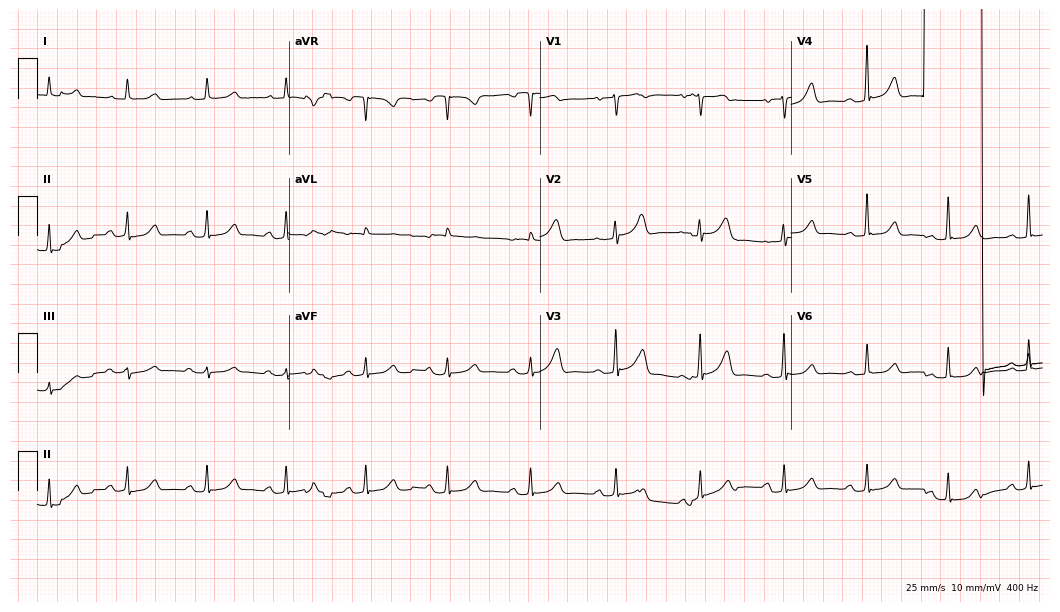
Resting 12-lead electrocardiogram. Patient: a woman, 73 years old. None of these six findings is recorded: first-degree AV block, right bundle branch block, left bundle branch block, sinus bradycardia, atrial fibrillation, sinus tachycardia. Only these six findings were labelled.